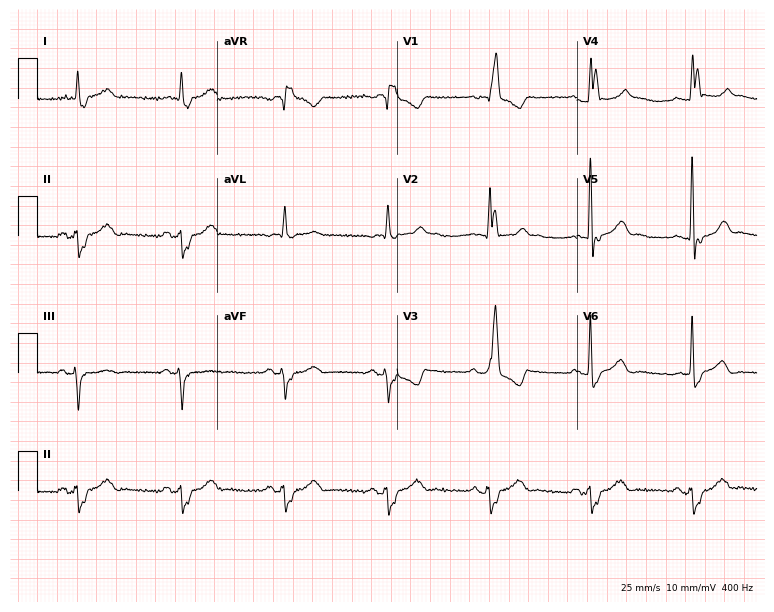
Electrocardiogram, a 72-year-old male. Interpretation includes right bundle branch block.